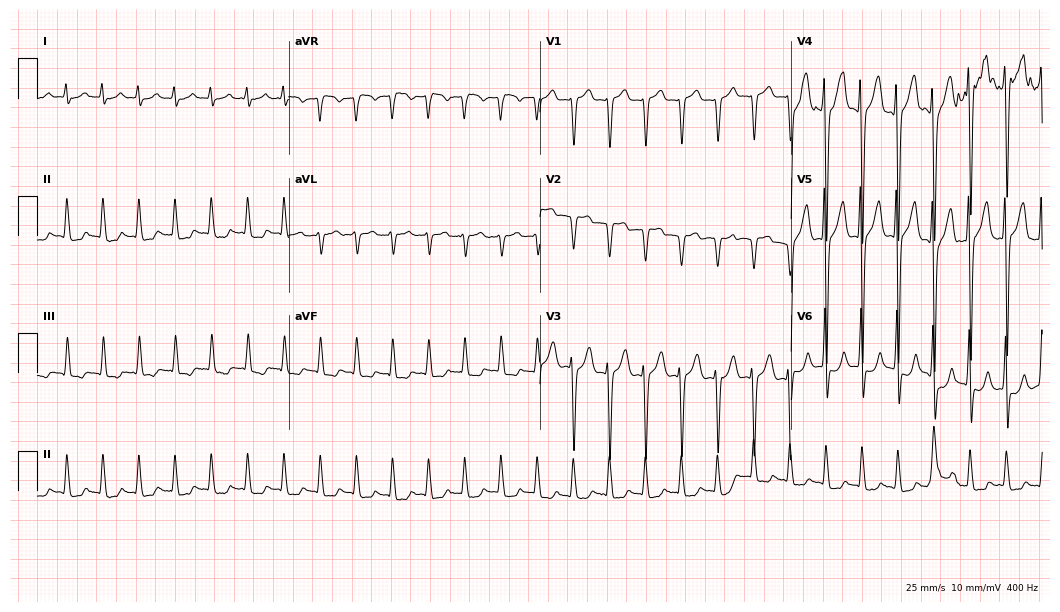
Resting 12-lead electrocardiogram (10.2-second recording at 400 Hz). Patient: an 80-year-old male. None of these six findings is recorded: first-degree AV block, right bundle branch block, left bundle branch block, sinus bradycardia, atrial fibrillation, sinus tachycardia.